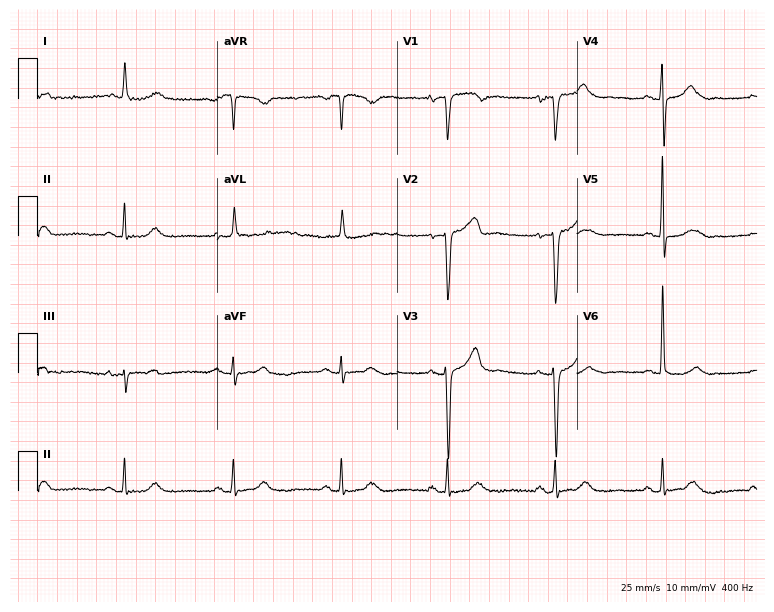
ECG (7.3-second recording at 400 Hz) — a 68-year-old woman. Screened for six findings — first-degree AV block, right bundle branch block, left bundle branch block, sinus bradycardia, atrial fibrillation, sinus tachycardia — none is recorded. Findings outside these six are not listed.